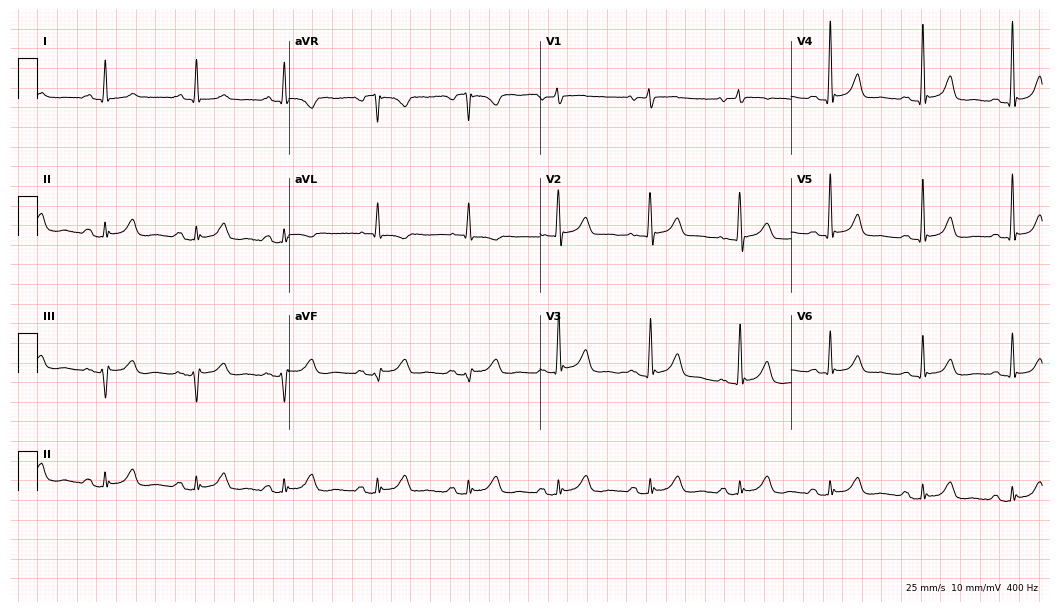
ECG (10.2-second recording at 400 Hz) — a 79-year-old female. Labelled as a normal ECG.